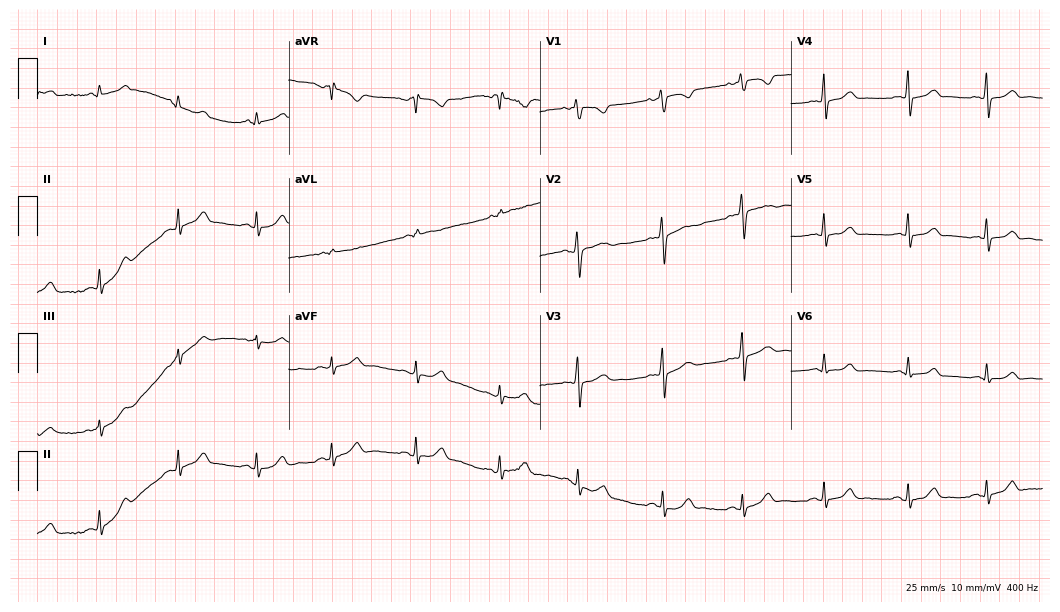
Standard 12-lead ECG recorded from a 17-year-old female. Read as a normal ECG.